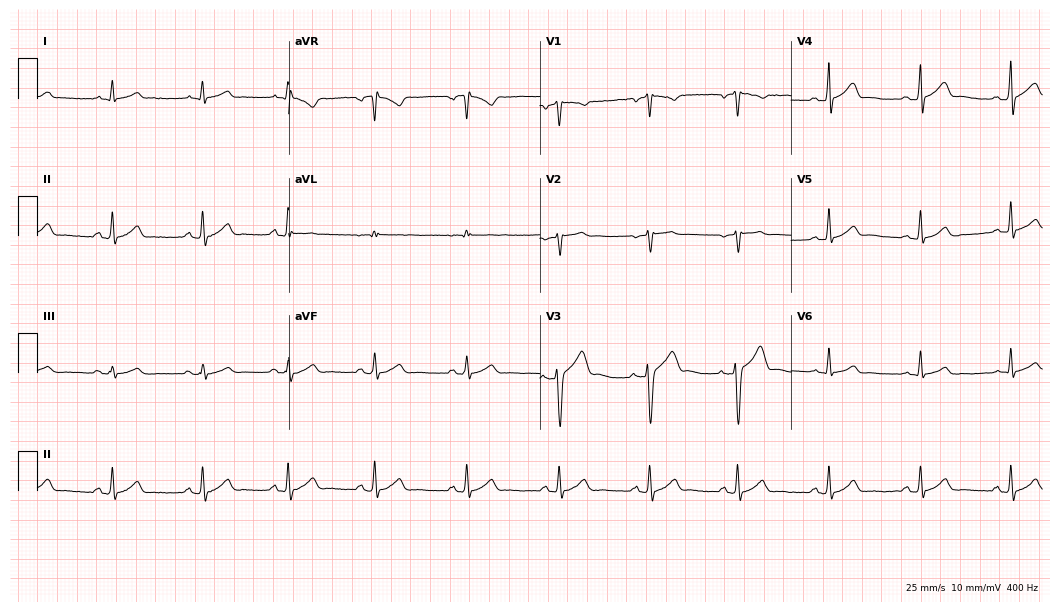
Standard 12-lead ECG recorded from a male patient, 37 years old. Read as a normal ECG.